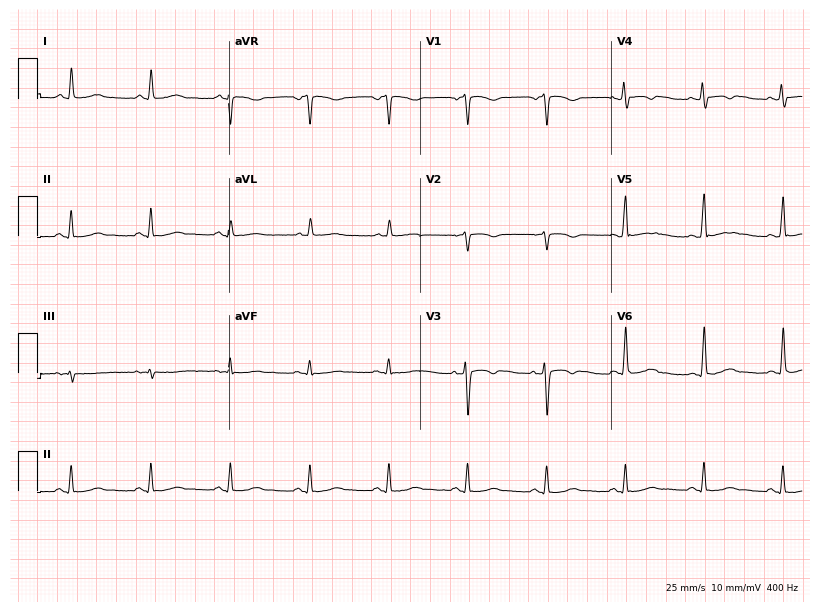
Standard 12-lead ECG recorded from a man, 57 years old. None of these six findings is recorded: first-degree AV block, right bundle branch block (RBBB), left bundle branch block (LBBB), sinus bradycardia, atrial fibrillation (AF), sinus tachycardia.